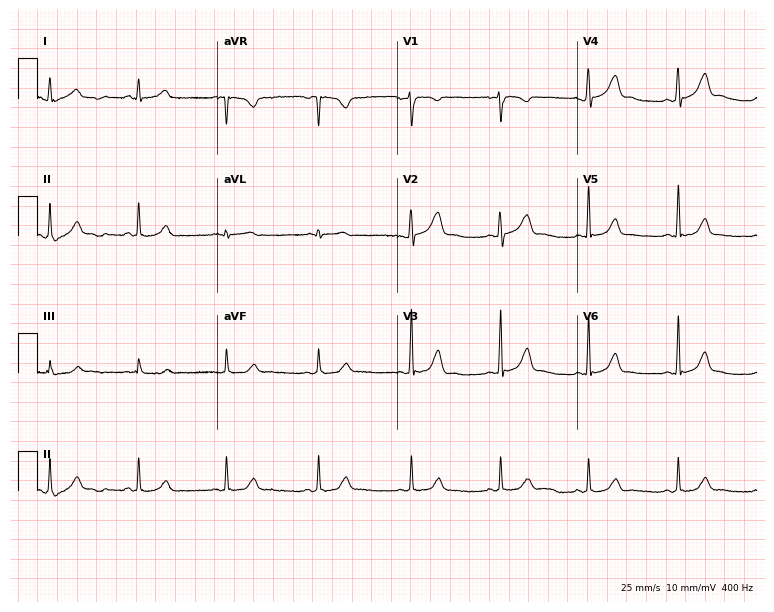
Electrocardiogram (7.3-second recording at 400 Hz), a 42-year-old male. Overall reading on record: normal ECG.